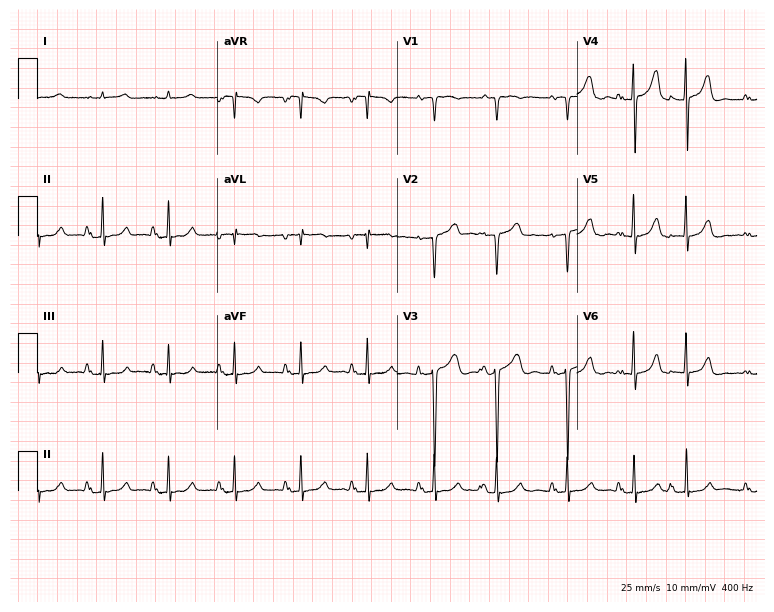
ECG — a 79-year-old female patient. Labelled as a normal ECG.